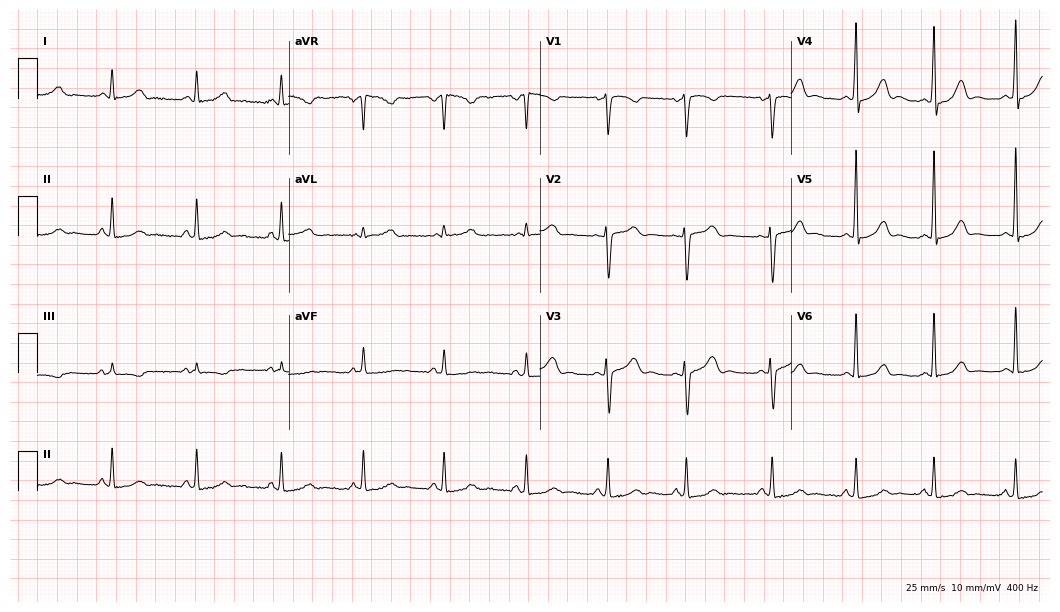
Electrocardiogram, a woman, 46 years old. Overall reading on record: normal ECG.